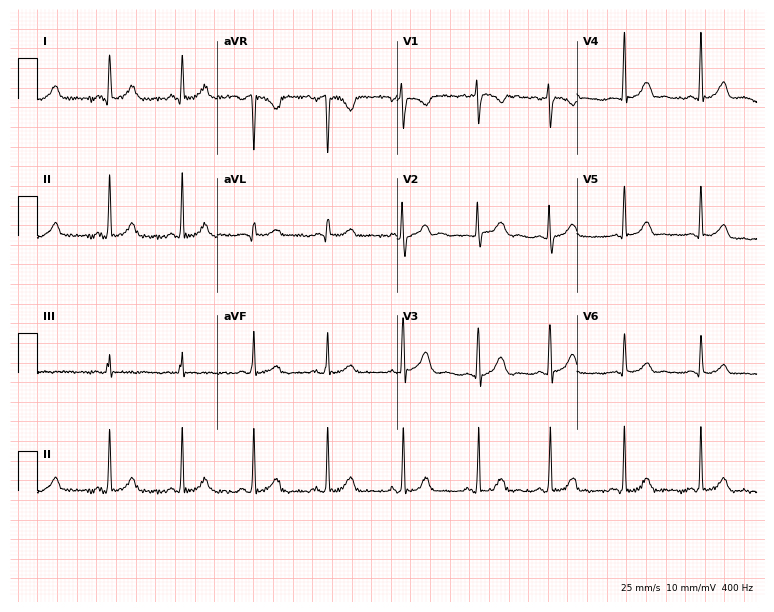
Resting 12-lead electrocardiogram (7.3-second recording at 400 Hz). Patient: a 17-year-old female. None of these six findings is recorded: first-degree AV block, right bundle branch block, left bundle branch block, sinus bradycardia, atrial fibrillation, sinus tachycardia. Findings outside these six are not listed.